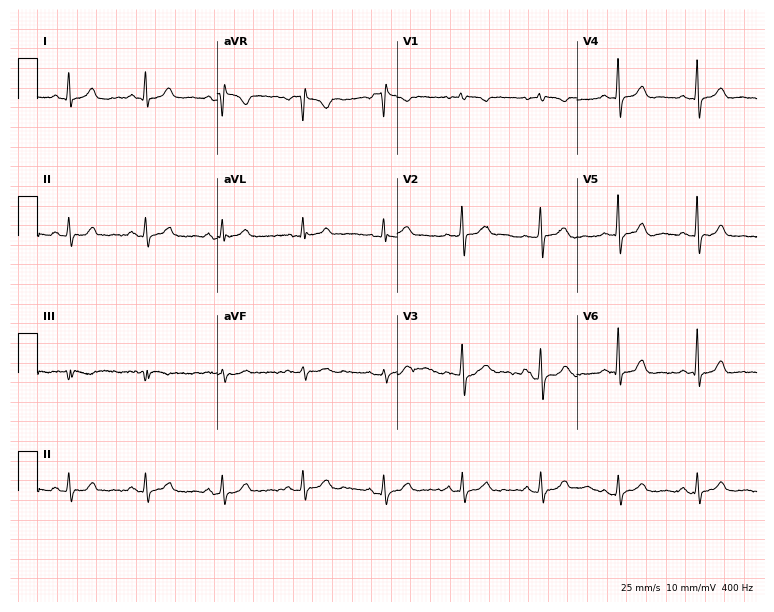
12-lead ECG from a female patient, 44 years old. Screened for six findings — first-degree AV block, right bundle branch block, left bundle branch block, sinus bradycardia, atrial fibrillation, sinus tachycardia — none is recorded.